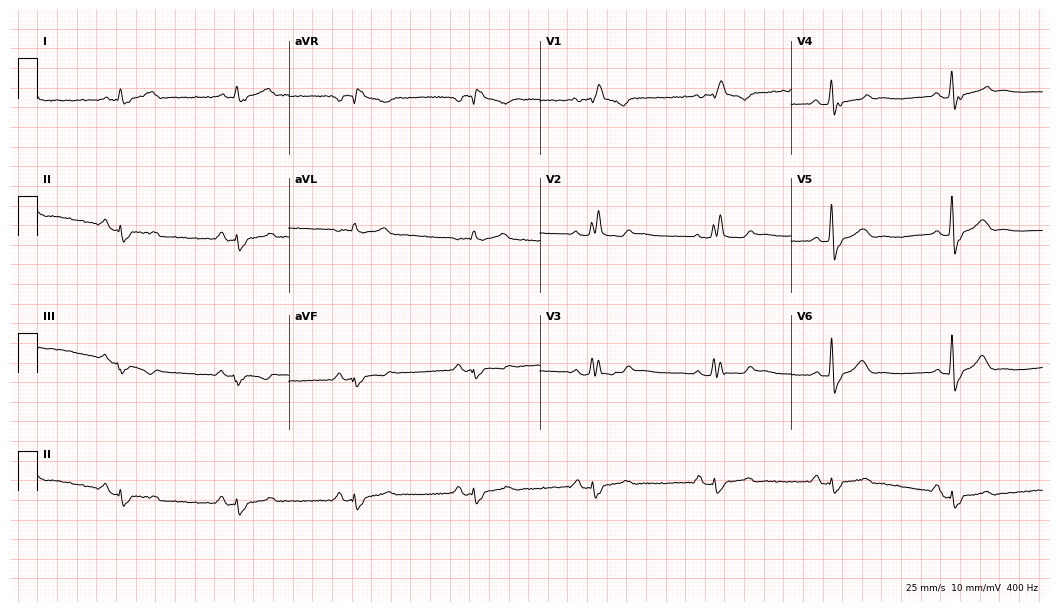
Resting 12-lead electrocardiogram (10.2-second recording at 400 Hz). Patient: a man, 65 years old. The tracing shows right bundle branch block (RBBB), sinus bradycardia (a sinus rate of 50 beats per minute or less).